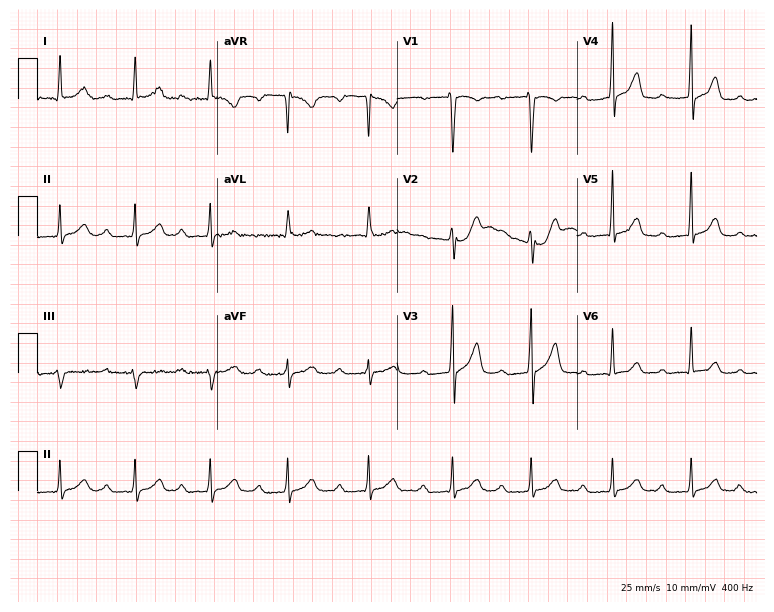
12-lead ECG (7.3-second recording at 400 Hz) from a male, 45 years old. Findings include first-degree AV block.